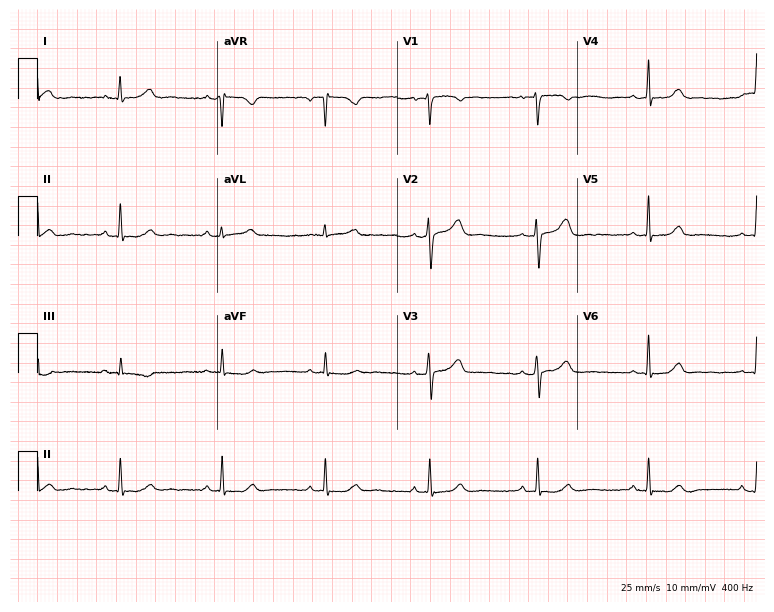
12-lead ECG from a 34-year-old woman. Labelled as a normal ECG.